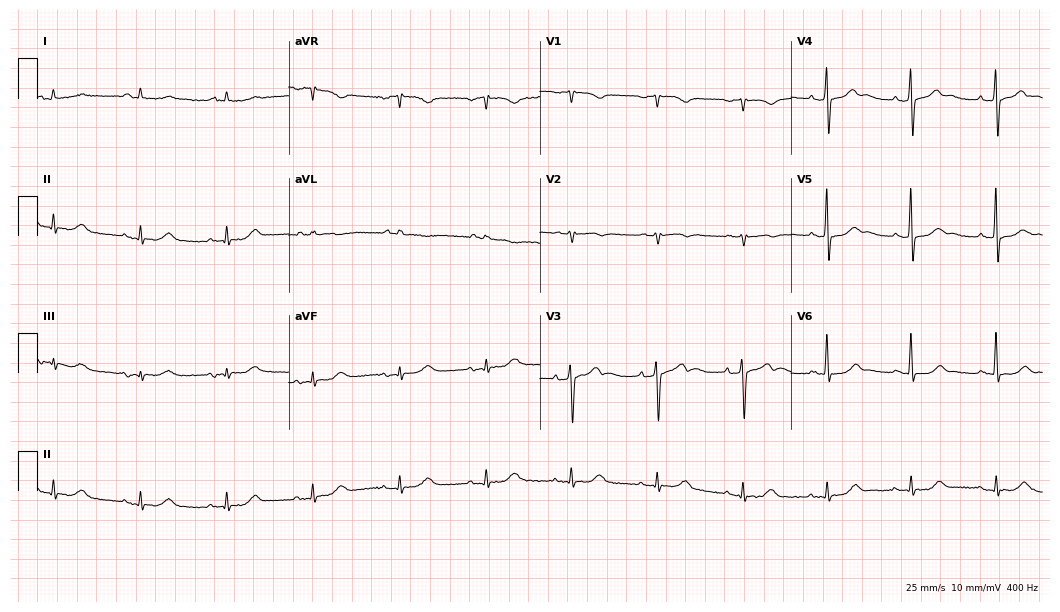
ECG (10.2-second recording at 400 Hz) — an 80-year-old man. Labelled as a normal ECG.